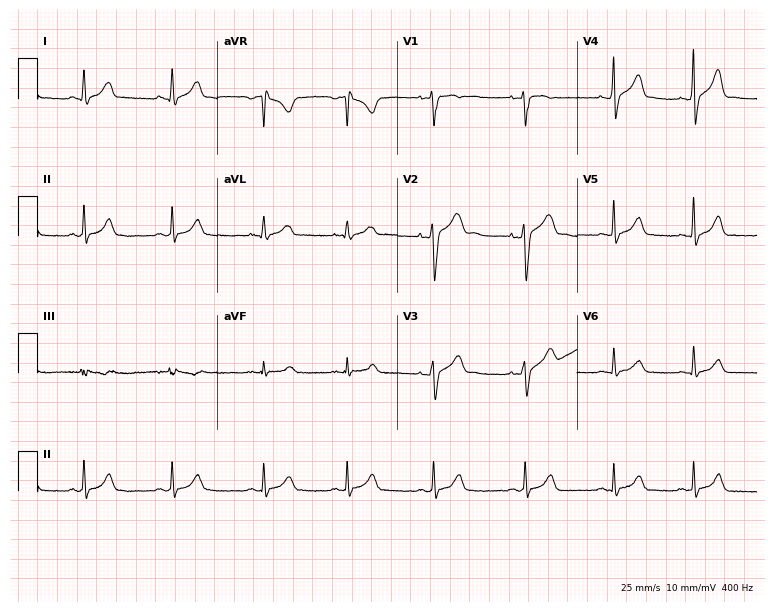
Electrocardiogram, a 22-year-old male. Overall reading on record: normal ECG.